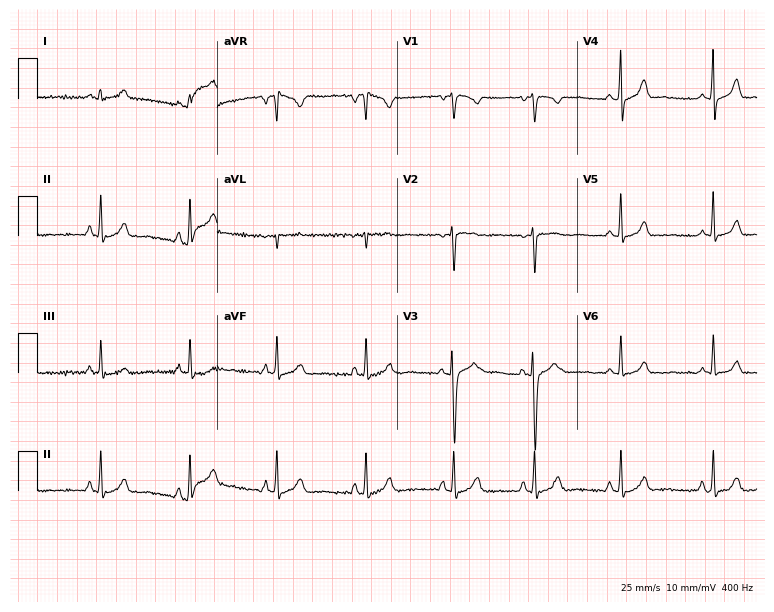
Resting 12-lead electrocardiogram (7.3-second recording at 400 Hz). Patient: a female, 24 years old. Read as a normal ECG.